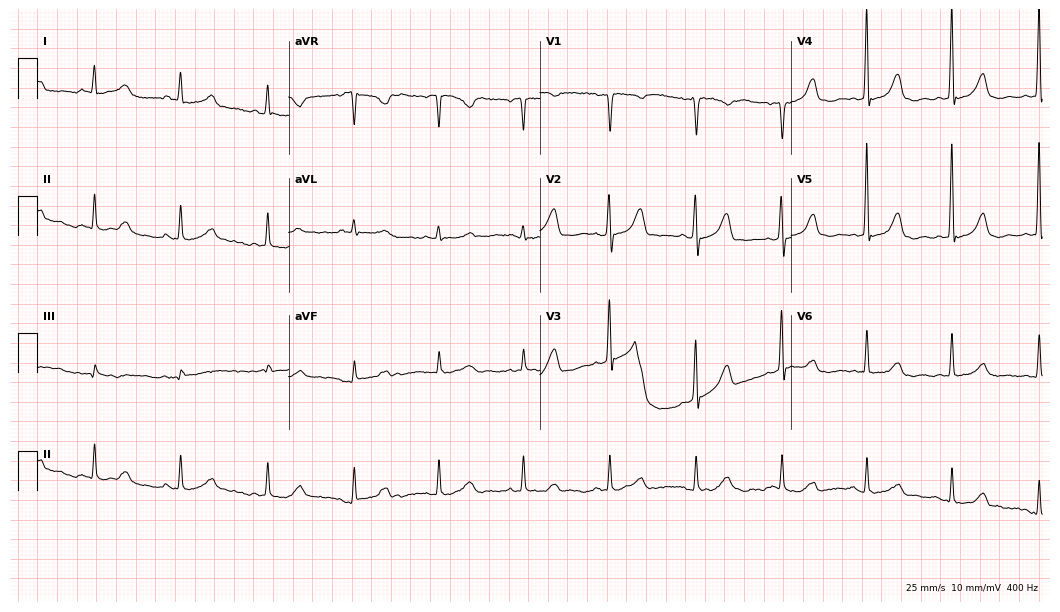
Resting 12-lead electrocardiogram (10.2-second recording at 400 Hz). Patient: a 68-year-old woman. None of these six findings is recorded: first-degree AV block, right bundle branch block, left bundle branch block, sinus bradycardia, atrial fibrillation, sinus tachycardia. Only these six findings were labelled.